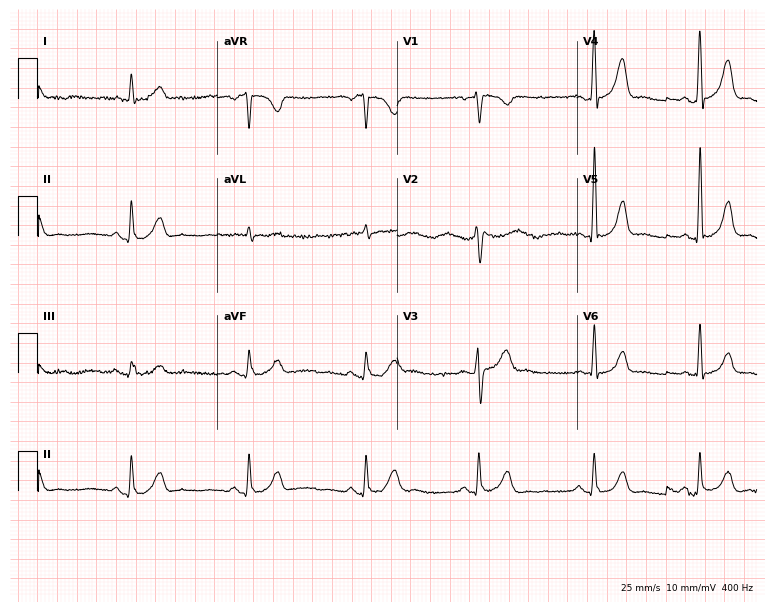
12-lead ECG from a male, 52 years old. No first-degree AV block, right bundle branch block, left bundle branch block, sinus bradycardia, atrial fibrillation or sinus tachycardia recorded for this tracing.